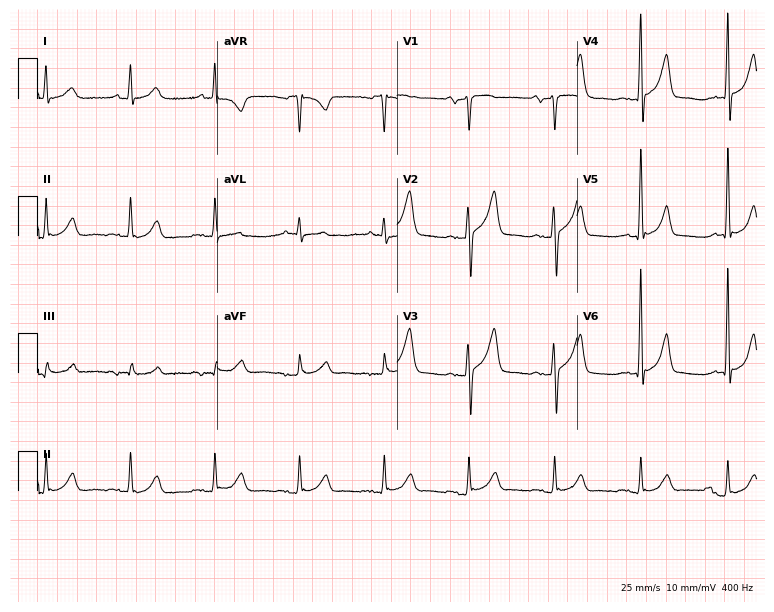
12-lead ECG from a 54-year-old male (7.3-second recording at 400 Hz). No first-degree AV block, right bundle branch block, left bundle branch block, sinus bradycardia, atrial fibrillation or sinus tachycardia recorded for this tracing. Only these six findings were labelled.